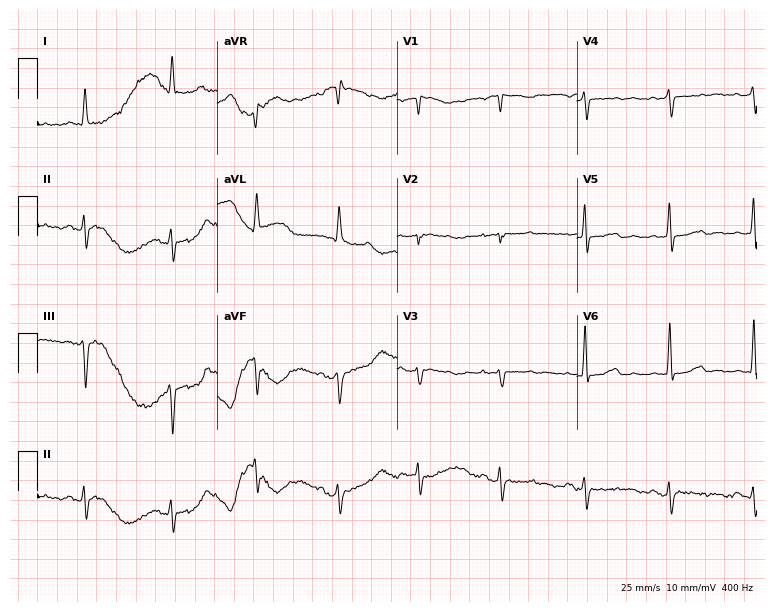
Standard 12-lead ECG recorded from an 81-year-old female (7.3-second recording at 400 Hz). None of these six findings is recorded: first-degree AV block, right bundle branch block, left bundle branch block, sinus bradycardia, atrial fibrillation, sinus tachycardia.